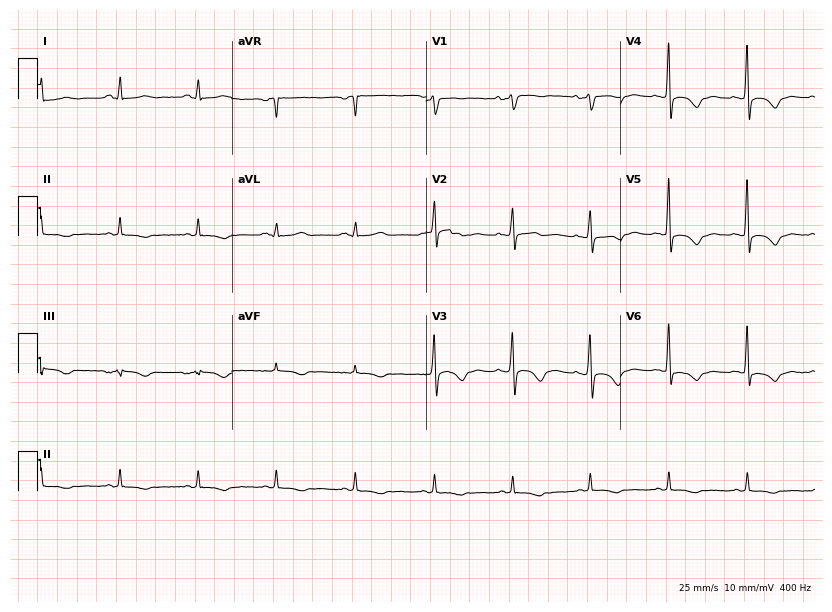
ECG (7.9-second recording at 400 Hz) — a 47-year-old woman. Screened for six findings — first-degree AV block, right bundle branch block (RBBB), left bundle branch block (LBBB), sinus bradycardia, atrial fibrillation (AF), sinus tachycardia — none is recorded. Other findings, if any, are not listed.